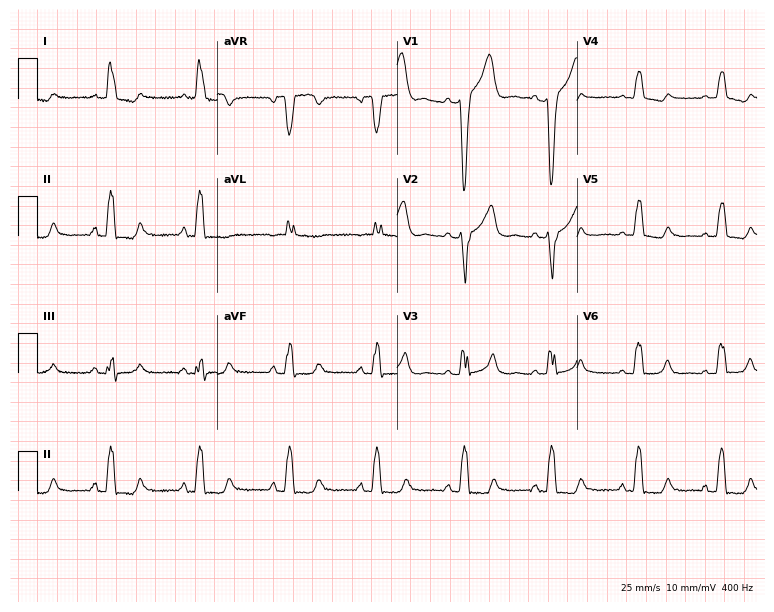
12-lead ECG from a female, 53 years old (7.3-second recording at 400 Hz). Shows left bundle branch block.